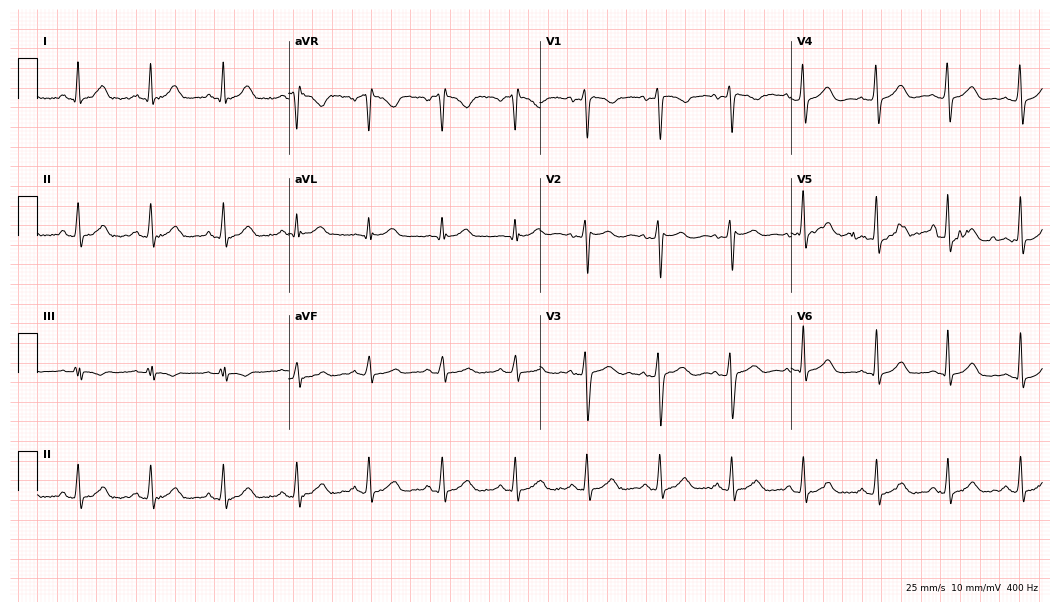
ECG — a female patient, 43 years old. Labelled as a normal ECG.